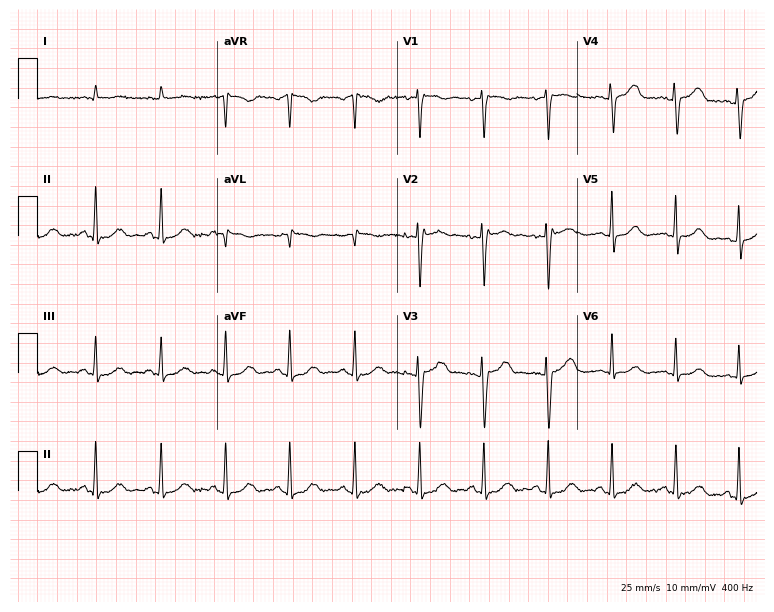
ECG (7.3-second recording at 400 Hz) — a 64-year-old female patient. Screened for six findings — first-degree AV block, right bundle branch block (RBBB), left bundle branch block (LBBB), sinus bradycardia, atrial fibrillation (AF), sinus tachycardia — none is recorded.